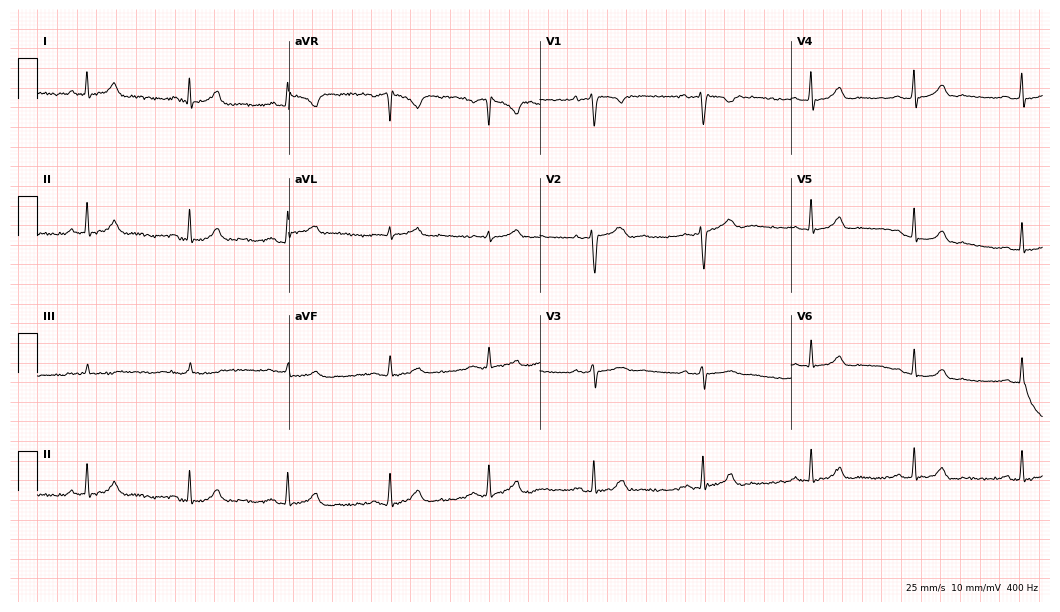
12-lead ECG from a woman, 39 years old (10.2-second recording at 400 Hz). Recorded interpretation: within normal limits.